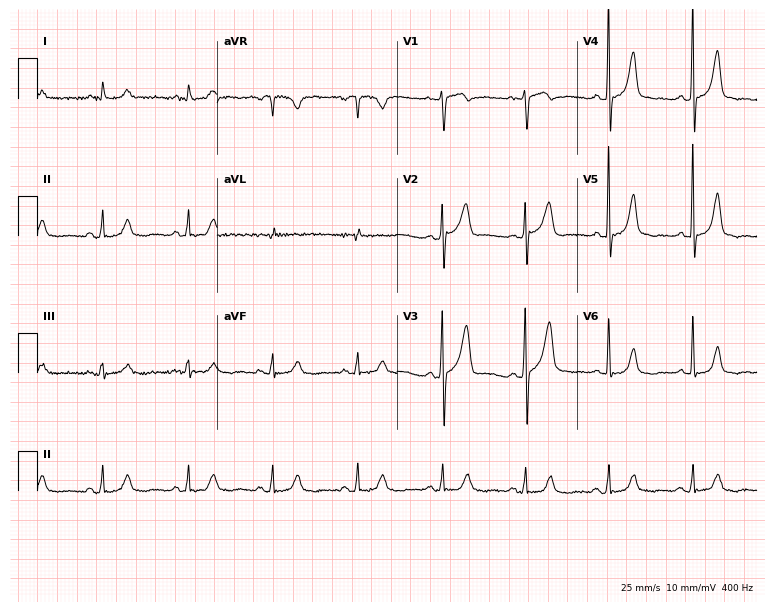
12-lead ECG (7.3-second recording at 400 Hz) from a 62-year-old man. Screened for six findings — first-degree AV block, right bundle branch block (RBBB), left bundle branch block (LBBB), sinus bradycardia, atrial fibrillation (AF), sinus tachycardia — none is recorded.